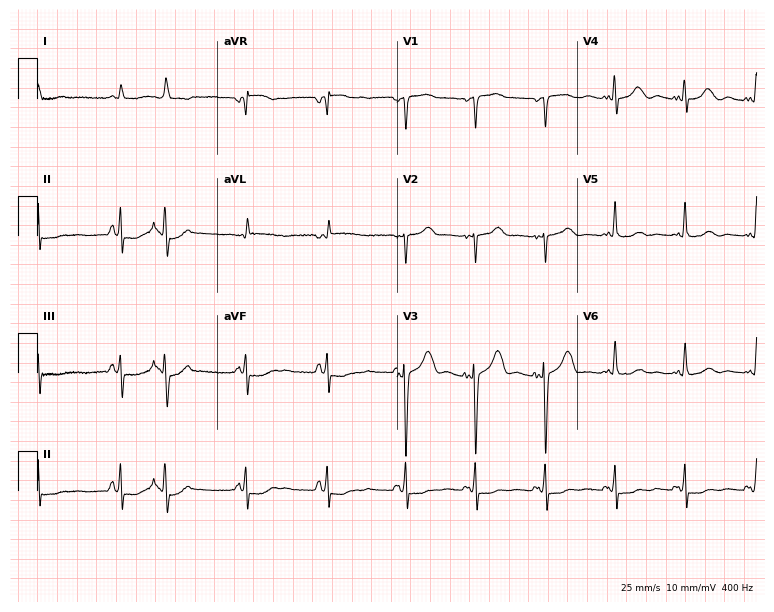
Resting 12-lead electrocardiogram. Patient: a man, 79 years old. None of these six findings is recorded: first-degree AV block, right bundle branch block (RBBB), left bundle branch block (LBBB), sinus bradycardia, atrial fibrillation (AF), sinus tachycardia. Findings outside these six are not listed.